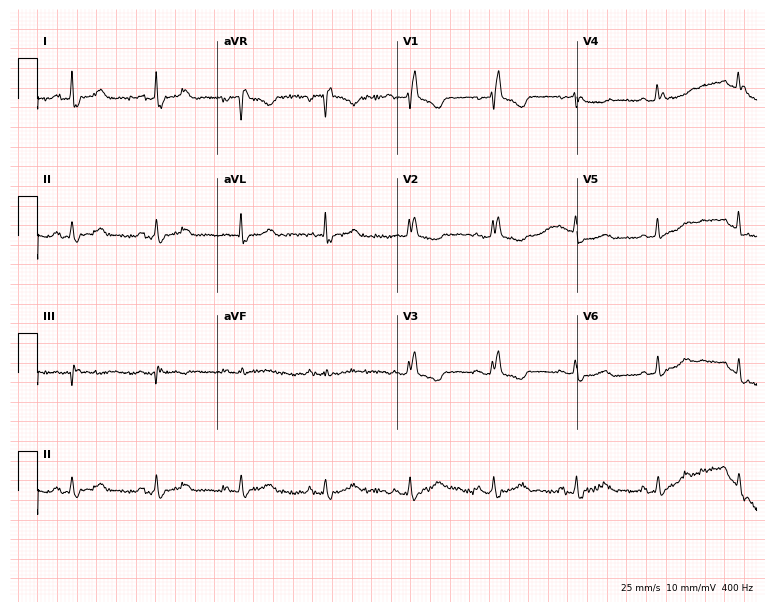
Electrocardiogram, a 51-year-old woman. Interpretation includes right bundle branch block (RBBB).